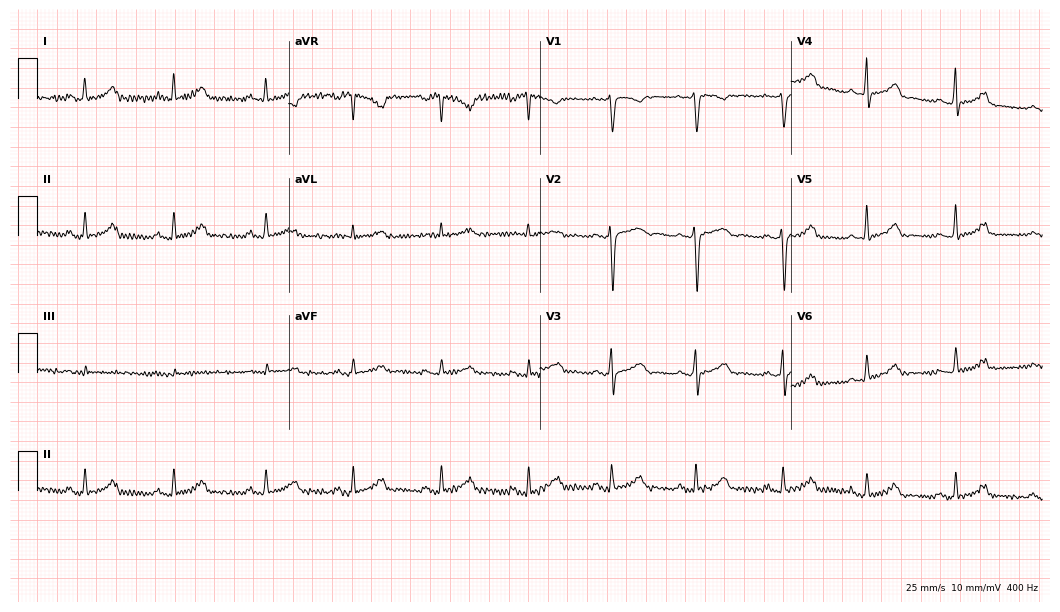
12-lead ECG (10.2-second recording at 400 Hz) from a 39-year-old female. Screened for six findings — first-degree AV block, right bundle branch block, left bundle branch block, sinus bradycardia, atrial fibrillation, sinus tachycardia — none is recorded. Findings outside these six are not listed.